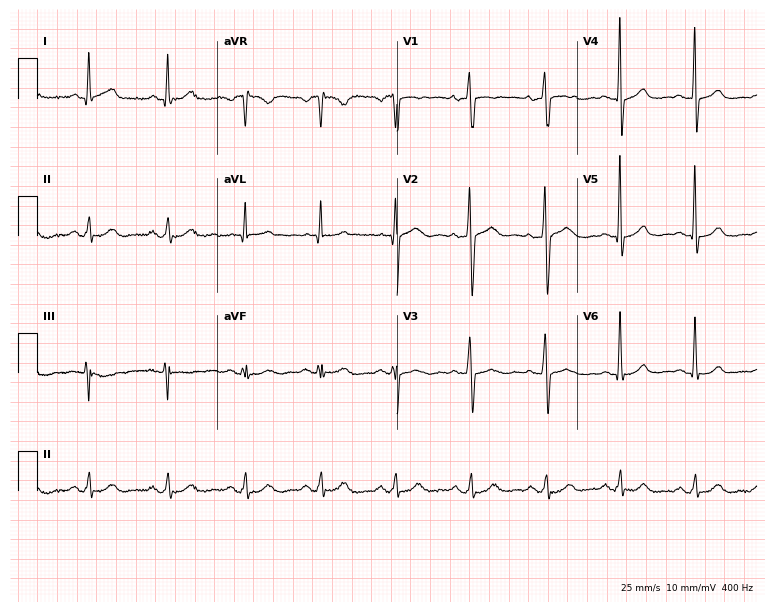
12-lead ECG from a 47-year-old male patient (7.3-second recording at 400 Hz). Recorded interpretation: within normal limits.